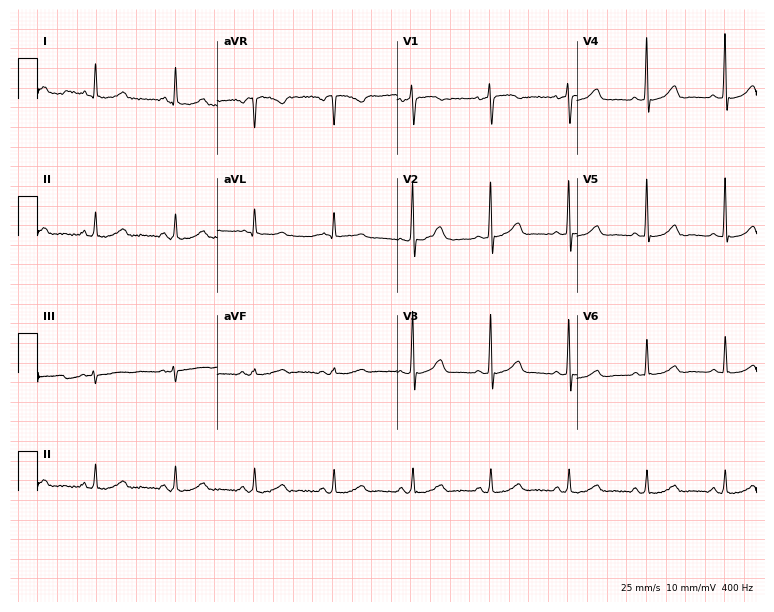
Standard 12-lead ECG recorded from a 65-year-old female patient (7.3-second recording at 400 Hz). None of these six findings is recorded: first-degree AV block, right bundle branch block (RBBB), left bundle branch block (LBBB), sinus bradycardia, atrial fibrillation (AF), sinus tachycardia.